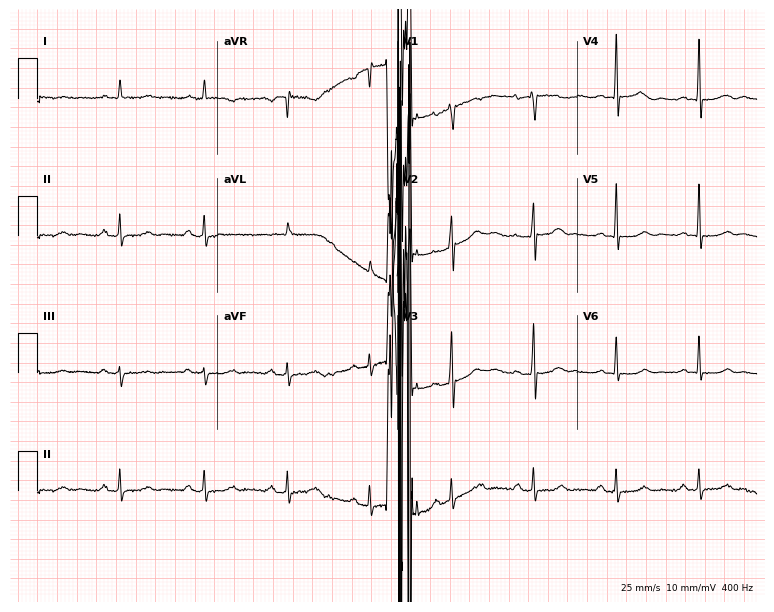
Standard 12-lead ECG recorded from a male, 71 years old (7.3-second recording at 400 Hz). Read as a normal ECG.